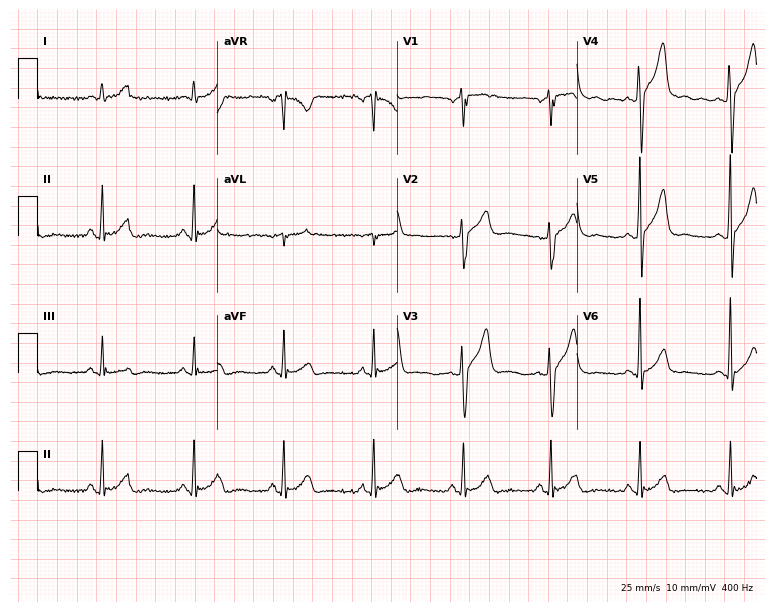
Resting 12-lead electrocardiogram. Patient: a 56-year-old male. Read as a normal ECG.